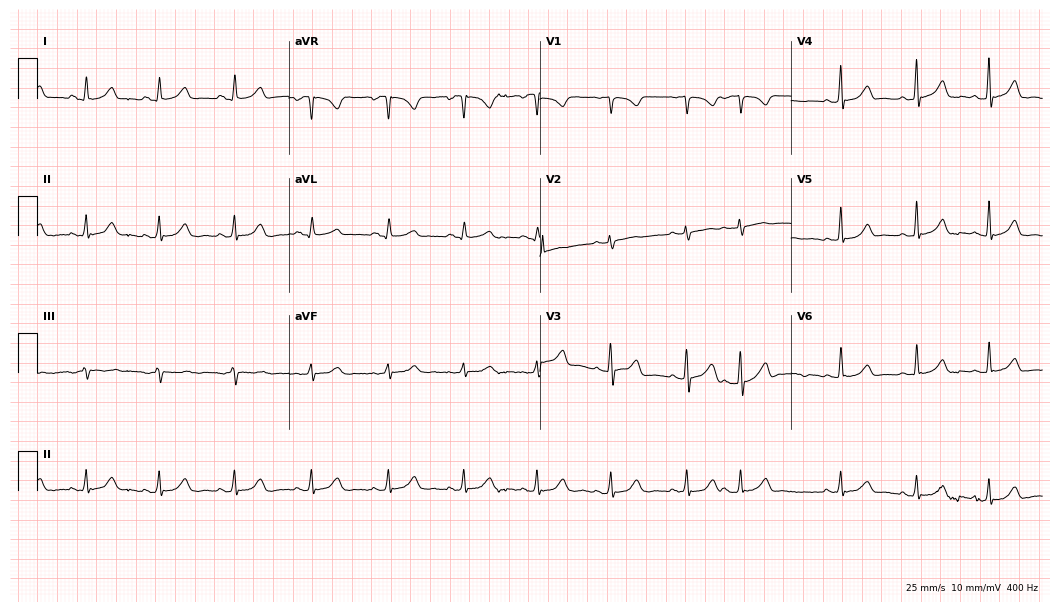
12-lead ECG from a 30-year-old female patient (10.2-second recording at 400 Hz). No first-degree AV block, right bundle branch block, left bundle branch block, sinus bradycardia, atrial fibrillation or sinus tachycardia recorded for this tracing. Findings outside these six are not listed.